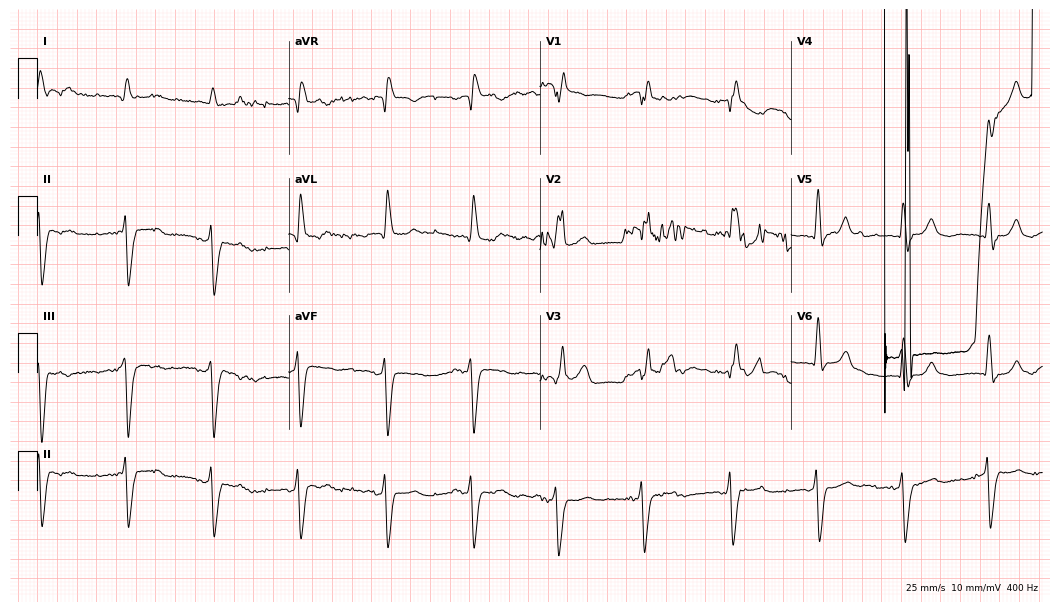
Electrocardiogram, an 86-year-old male patient. Of the six screened findings (first-degree AV block, right bundle branch block, left bundle branch block, sinus bradycardia, atrial fibrillation, sinus tachycardia), none is recorded.